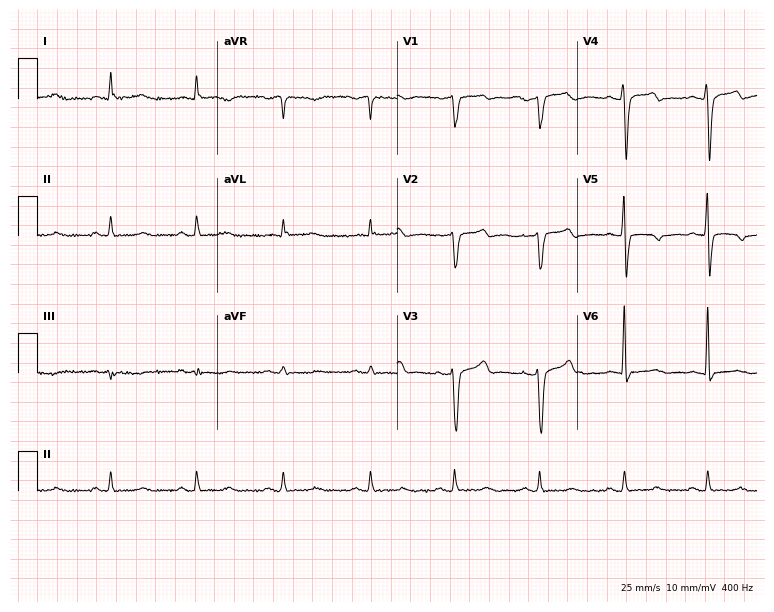
Electrocardiogram, a male, 61 years old. Of the six screened findings (first-degree AV block, right bundle branch block (RBBB), left bundle branch block (LBBB), sinus bradycardia, atrial fibrillation (AF), sinus tachycardia), none is recorded. Only these six findings were labelled.